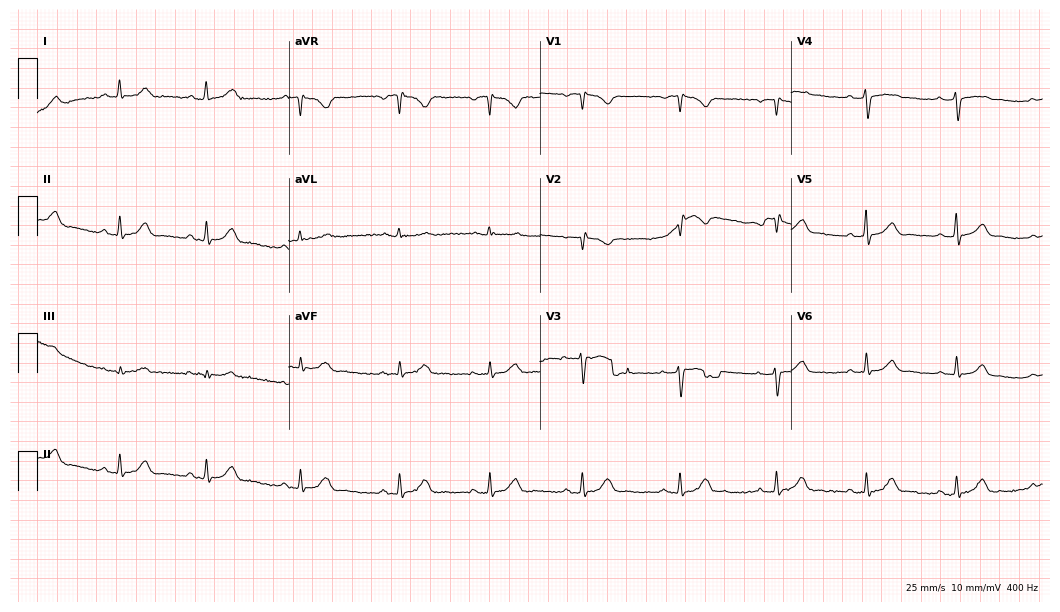
ECG — a female patient, 32 years old. Labelled as a normal ECG.